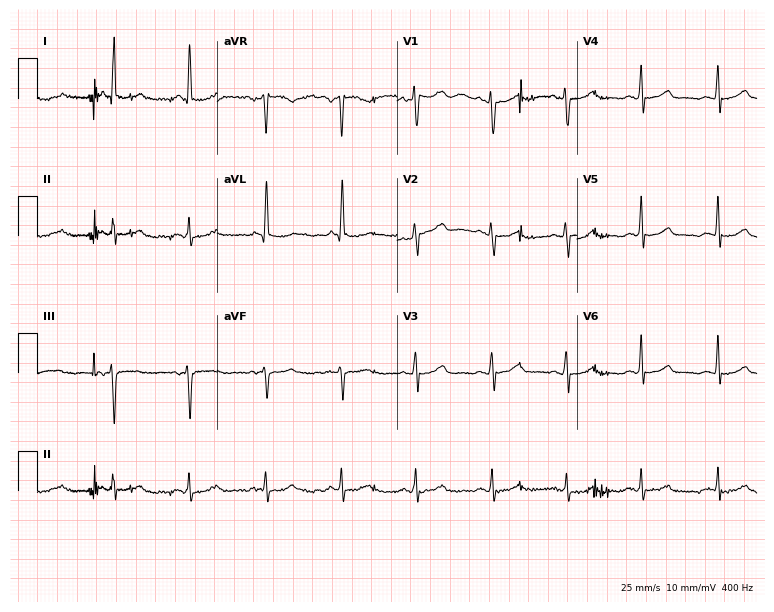
Standard 12-lead ECG recorded from a 53-year-old female patient. None of these six findings is recorded: first-degree AV block, right bundle branch block, left bundle branch block, sinus bradycardia, atrial fibrillation, sinus tachycardia.